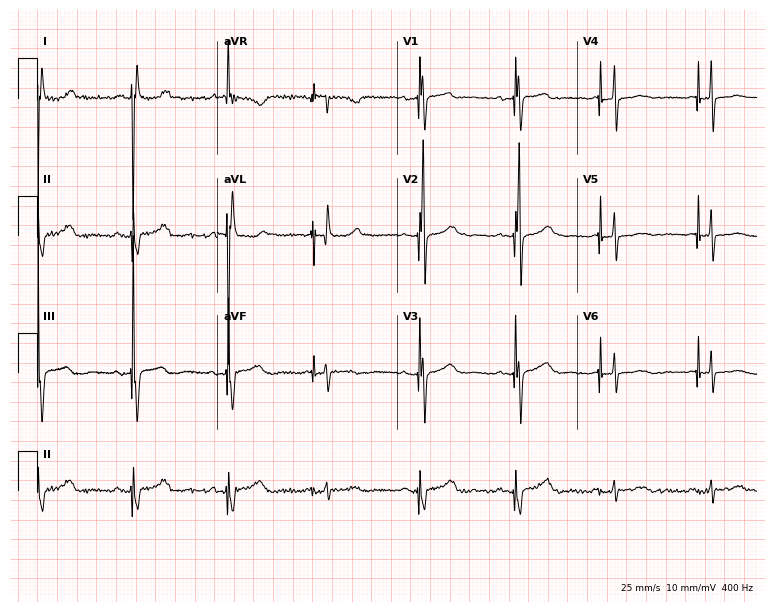
Electrocardiogram (7.3-second recording at 400 Hz), an 81-year-old woman. Of the six screened findings (first-degree AV block, right bundle branch block (RBBB), left bundle branch block (LBBB), sinus bradycardia, atrial fibrillation (AF), sinus tachycardia), none is recorded.